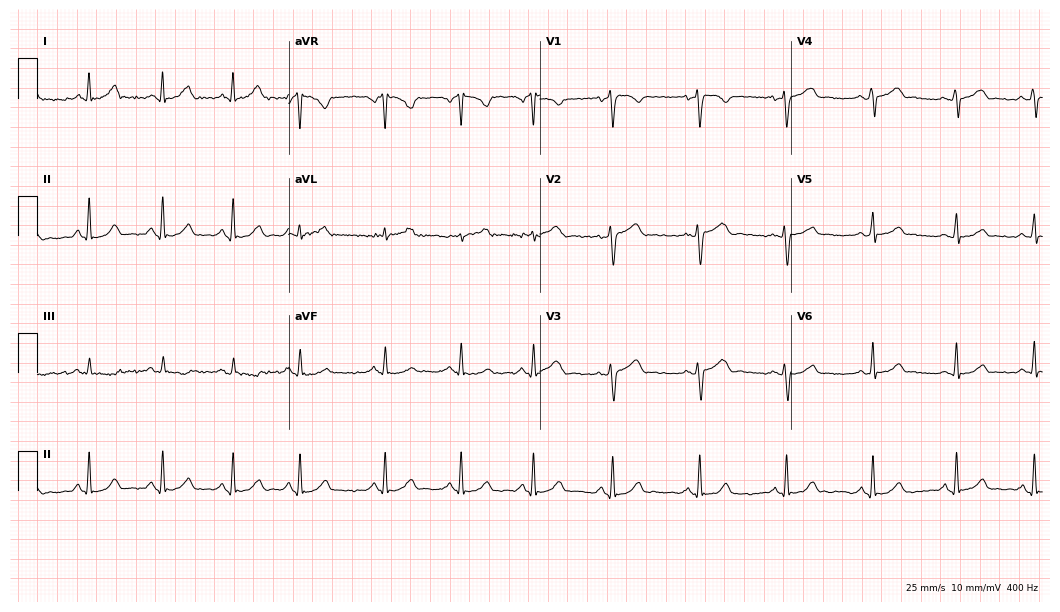
Electrocardiogram (10.2-second recording at 400 Hz), a 37-year-old female. Overall reading on record: normal ECG.